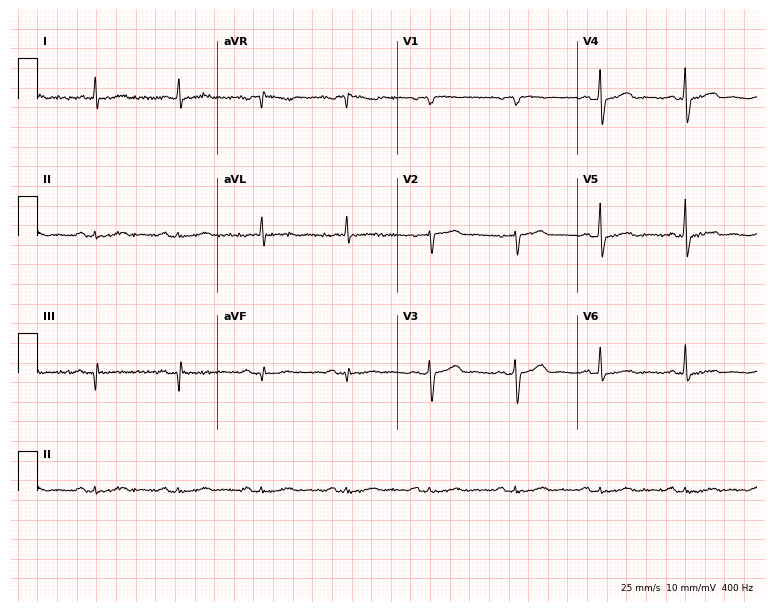
Electrocardiogram (7.3-second recording at 400 Hz), a 74-year-old man. Of the six screened findings (first-degree AV block, right bundle branch block, left bundle branch block, sinus bradycardia, atrial fibrillation, sinus tachycardia), none is recorded.